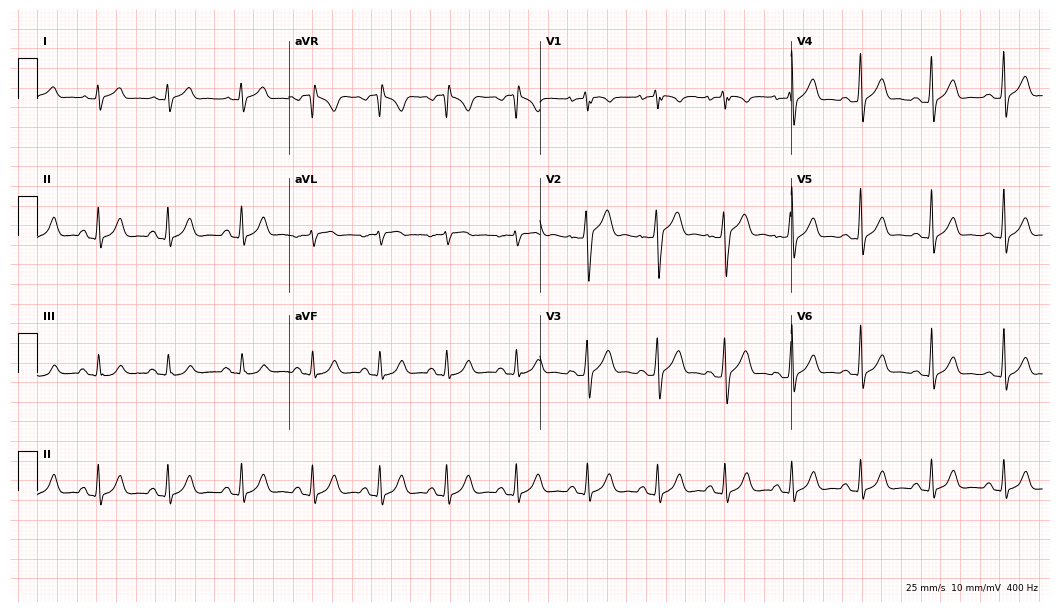
12-lead ECG from a 23-year-old man. Recorded interpretation: within normal limits.